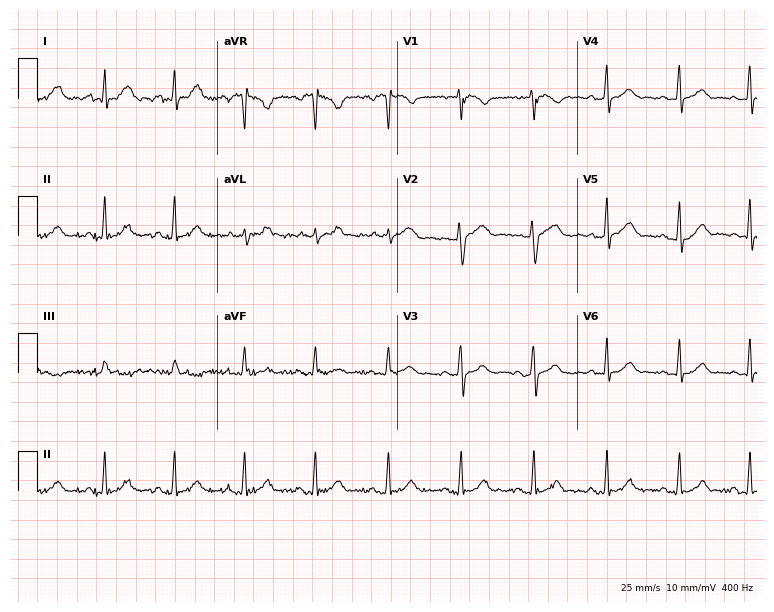
12-lead ECG (7.3-second recording at 400 Hz) from a 44-year-old female. Labelled as a normal ECG.